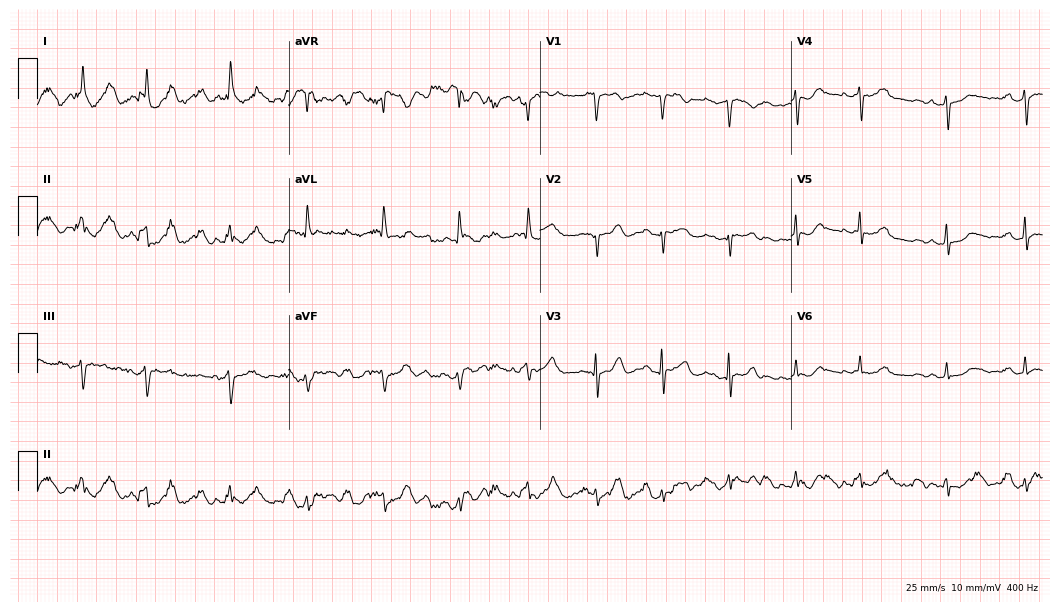
Electrocardiogram, a female patient, 78 years old. Of the six screened findings (first-degree AV block, right bundle branch block, left bundle branch block, sinus bradycardia, atrial fibrillation, sinus tachycardia), none is recorded.